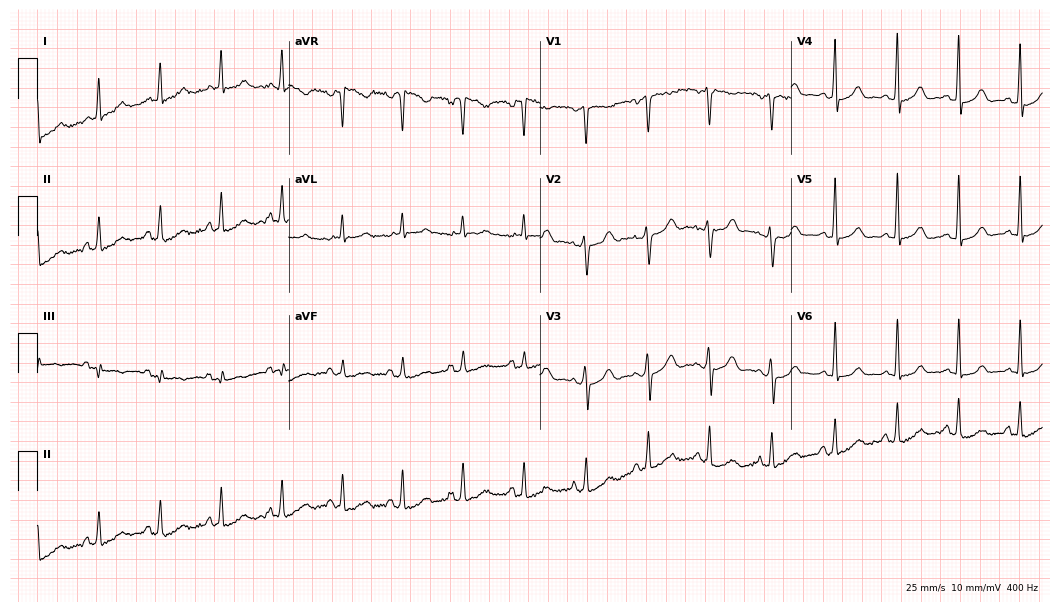
Electrocardiogram (10.2-second recording at 400 Hz), a female, 48 years old. Overall reading on record: normal ECG.